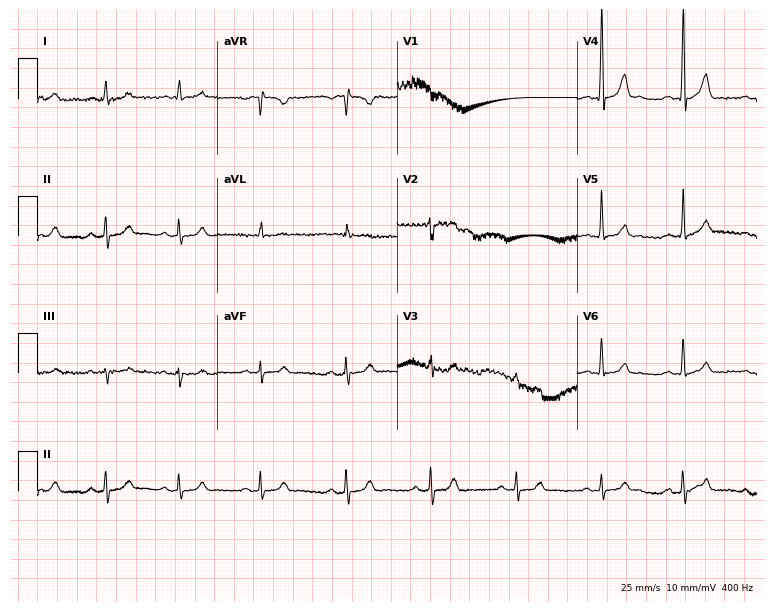
12-lead ECG from a 27-year-old man (7.3-second recording at 400 Hz). No first-degree AV block, right bundle branch block, left bundle branch block, sinus bradycardia, atrial fibrillation or sinus tachycardia recorded for this tracing. Only these six findings were labelled.